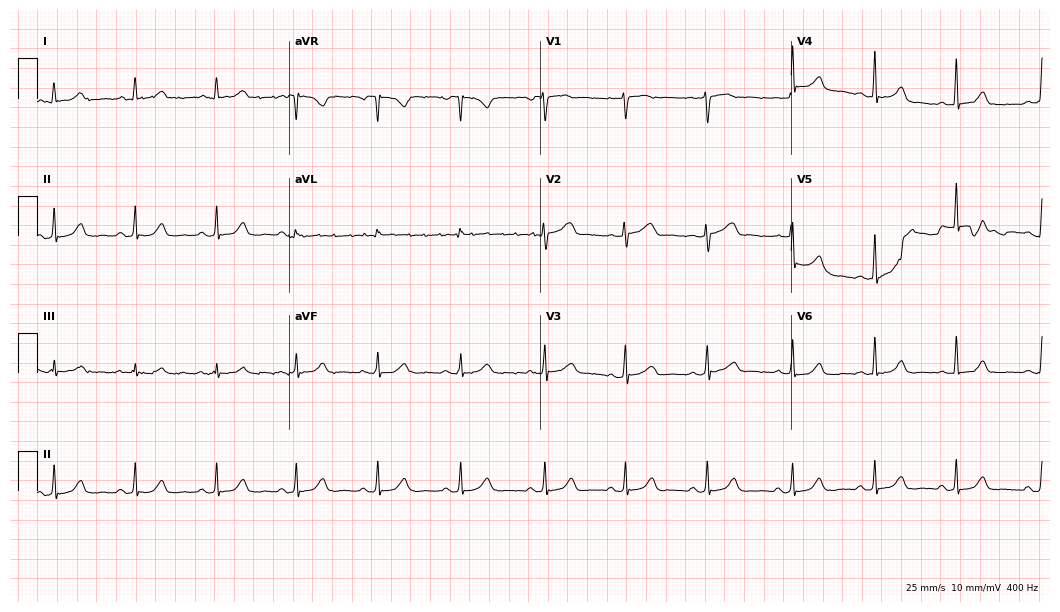
Resting 12-lead electrocardiogram. Patient: a 40-year-old female. Read as a normal ECG.